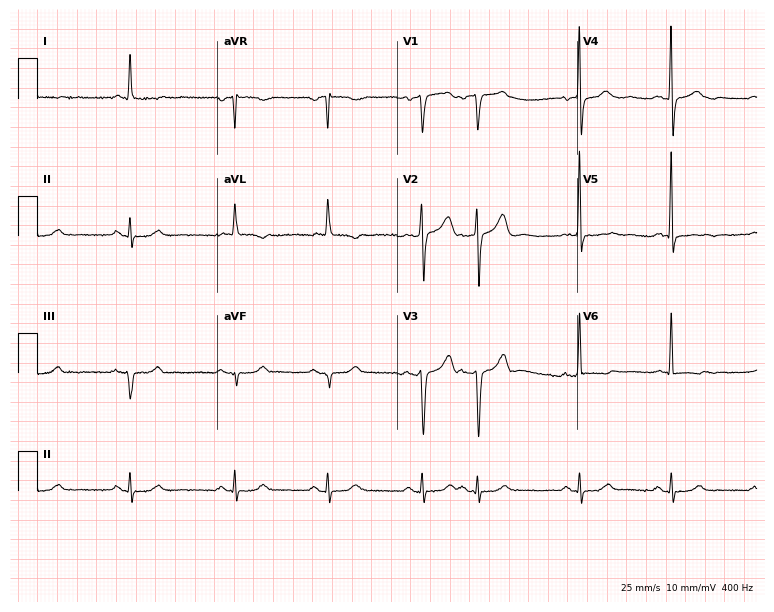
Resting 12-lead electrocardiogram (7.3-second recording at 400 Hz). Patient: a male, 84 years old. None of these six findings is recorded: first-degree AV block, right bundle branch block, left bundle branch block, sinus bradycardia, atrial fibrillation, sinus tachycardia.